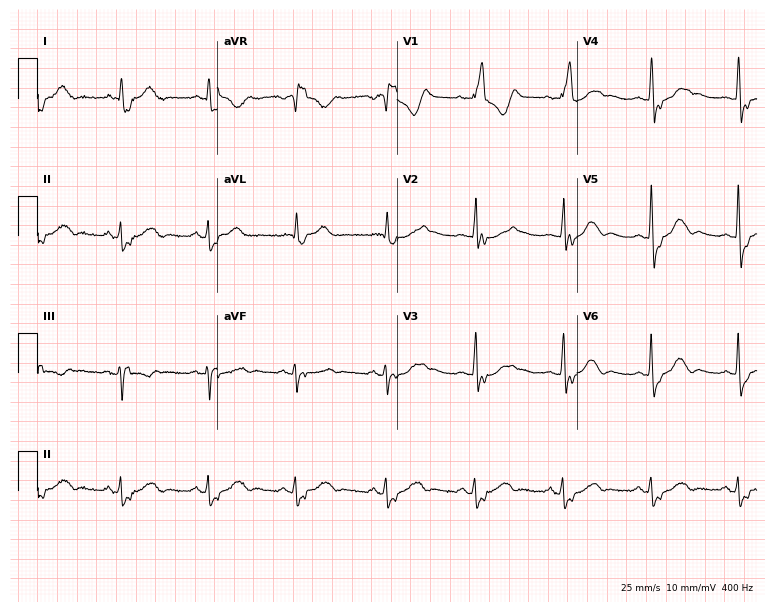
Standard 12-lead ECG recorded from a female, 75 years old. The tracing shows right bundle branch block.